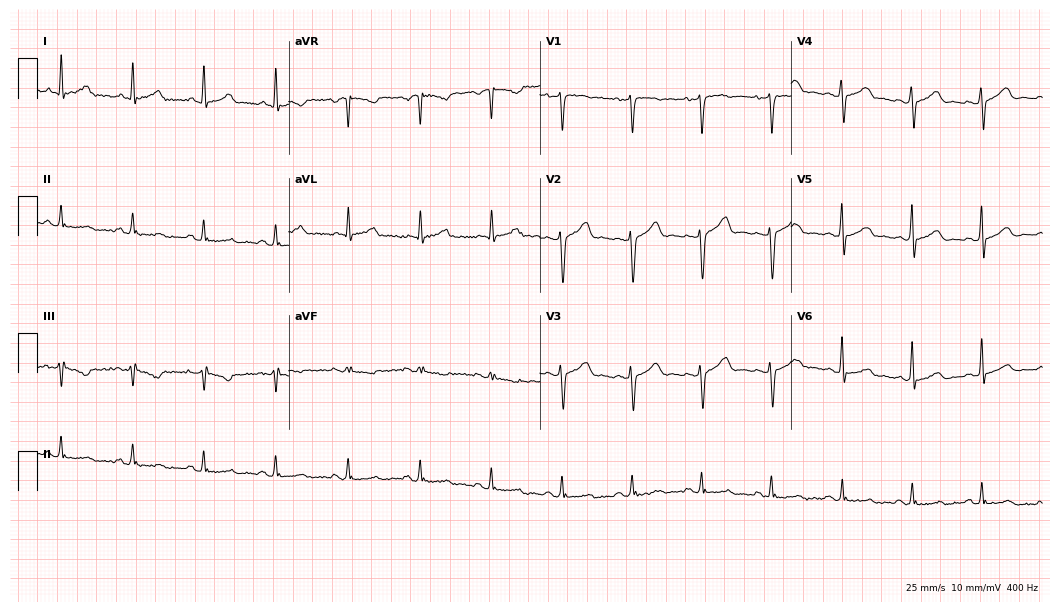
12-lead ECG from a 56-year-old man (10.2-second recording at 400 Hz). No first-degree AV block, right bundle branch block, left bundle branch block, sinus bradycardia, atrial fibrillation or sinus tachycardia recorded for this tracing. Other findings, if any, are not listed.